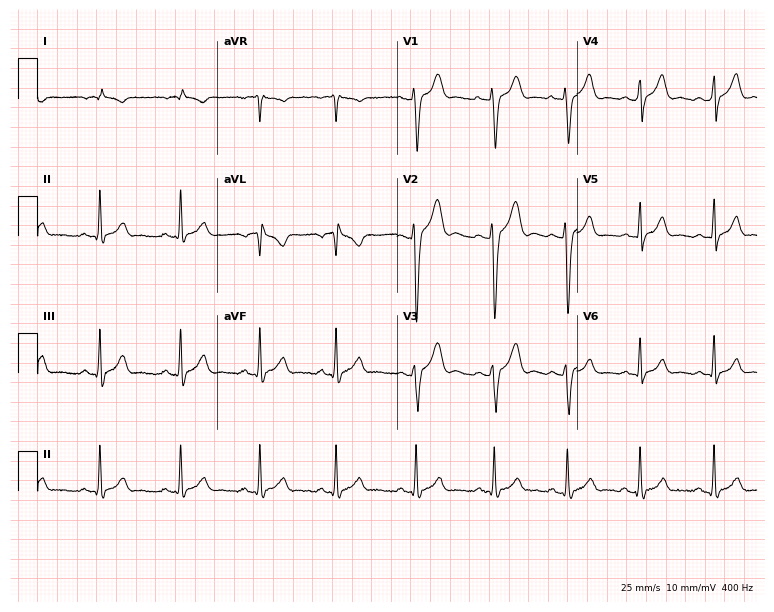
Electrocardiogram (7.3-second recording at 400 Hz), a male, 19 years old. Of the six screened findings (first-degree AV block, right bundle branch block, left bundle branch block, sinus bradycardia, atrial fibrillation, sinus tachycardia), none is recorded. Only these six findings were labelled.